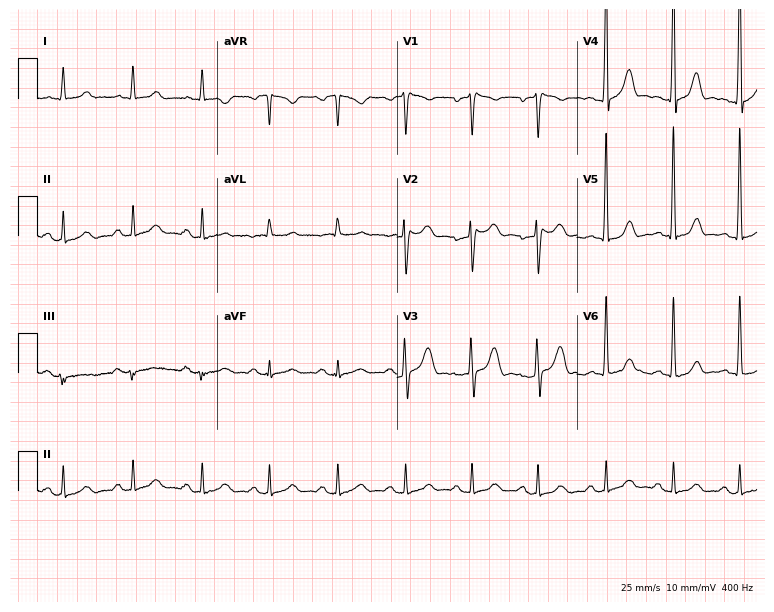
12-lead ECG (7.3-second recording at 400 Hz) from a 58-year-old male. Labelled as a normal ECG.